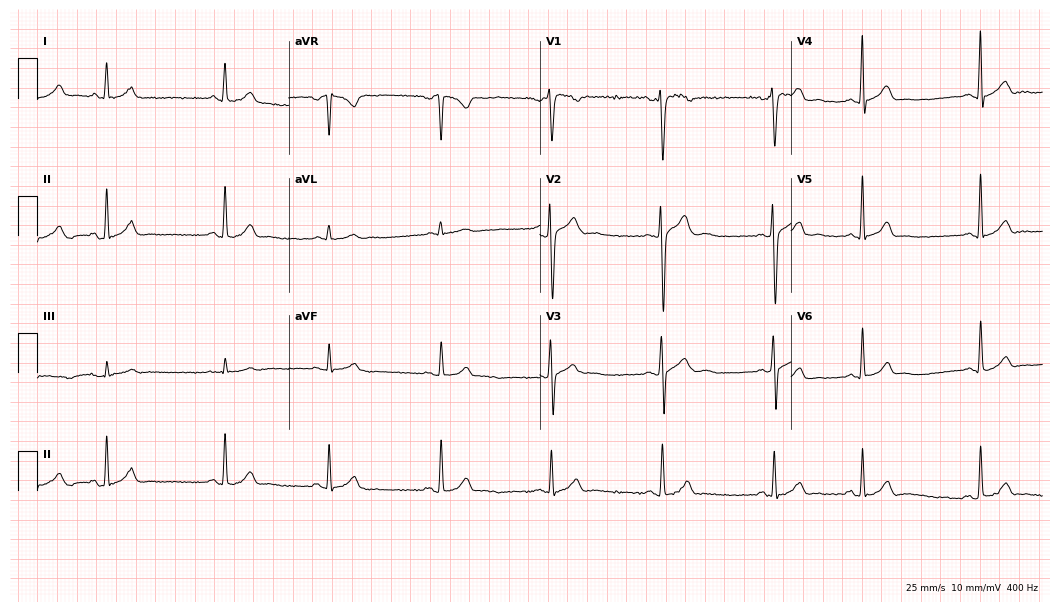
ECG (10.2-second recording at 400 Hz) — a 21-year-old male. Labelled as a normal ECG.